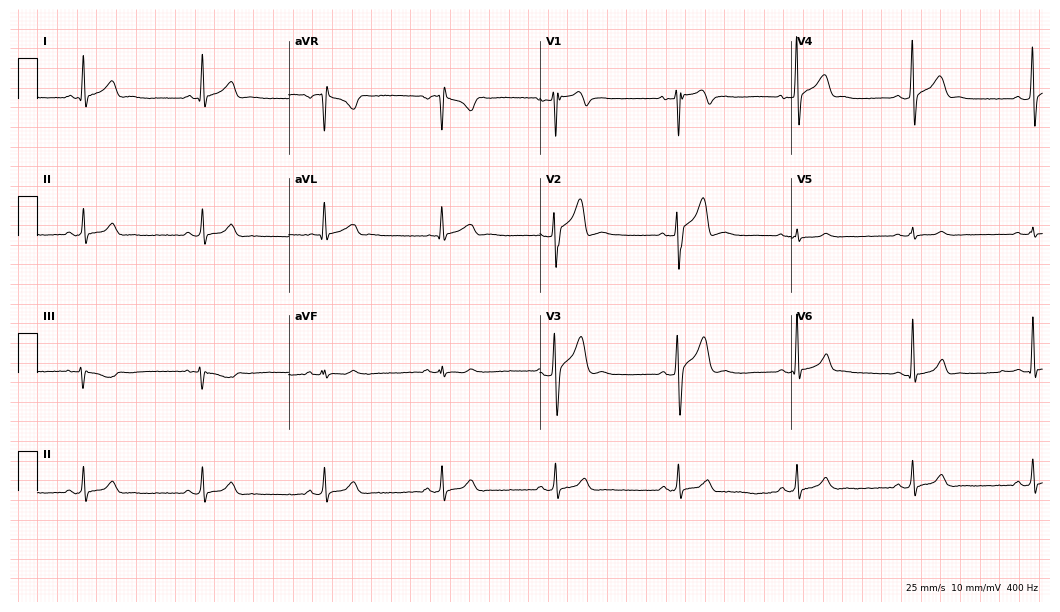
Standard 12-lead ECG recorded from a male patient, 27 years old. None of these six findings is recorded: first-degree AV block, right bundle branch block, left bundle branch block, sinus bradycardia, atrial fibrillation, sinus tachycardia. Only these six findings were labelled.